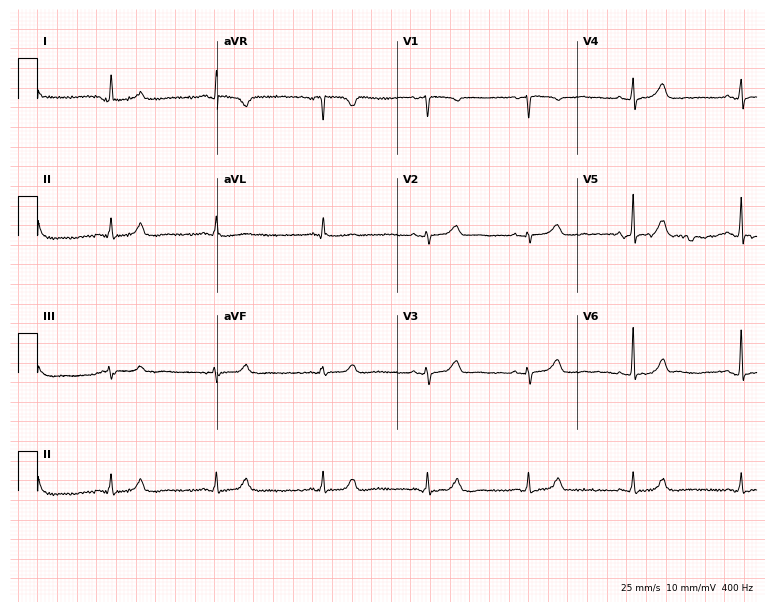
ECG (7.3-second recording at 400 Hz) — a 58-year-old woman. Labelled as a normal ECG.